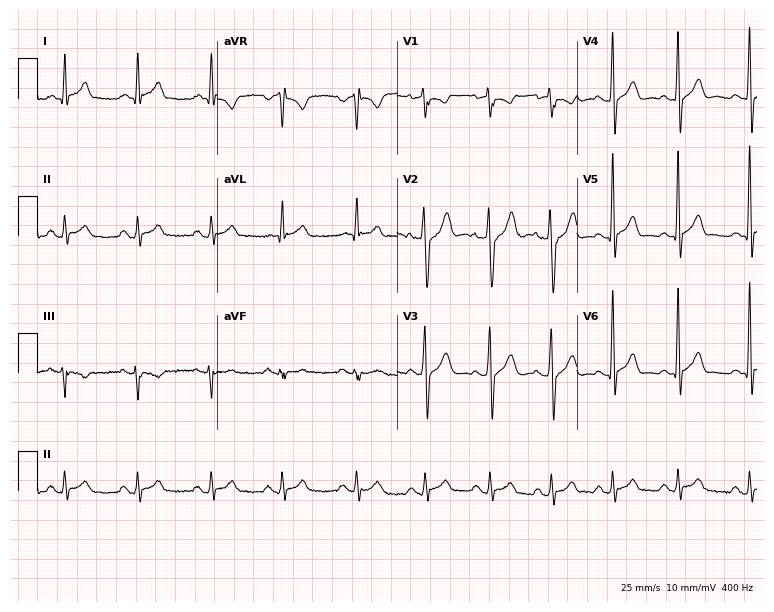
12-lead ECG from a 39-year-old male patient. Screened for six findings — first-degree AV block, right bundle branch block (RBBB), left bundle branch block (LBBB), sinus bradycardia, atrial fibrillation (AF), sinus tachycardia — none is recorded.